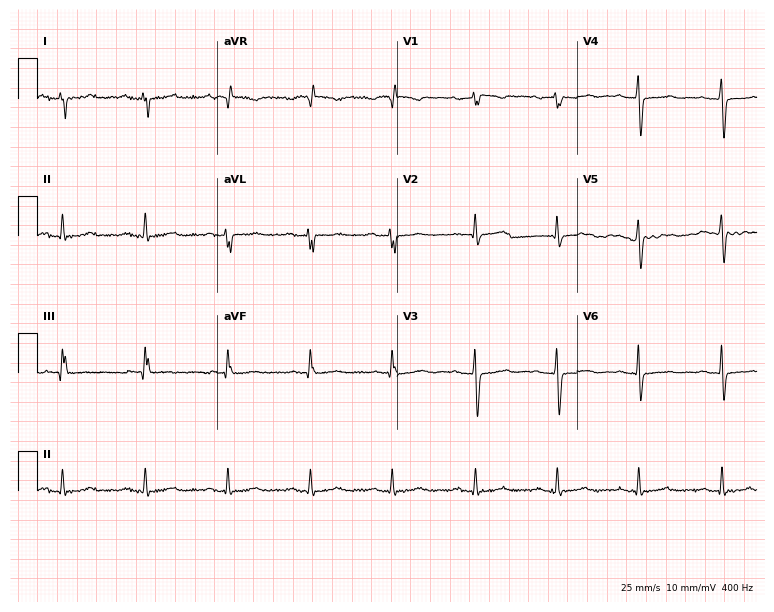
ECG (7.3-second recording at 400 Hz) — a 74-year-old female. Screened for six findings — first-degree AV block, right bundle branch block (RBBB), left bundle branch block (LBBB), sinus bradycardia, atrial fibrillation (AF), sinus tachycardia — none is recorded. Other findings, if any, are not listed.